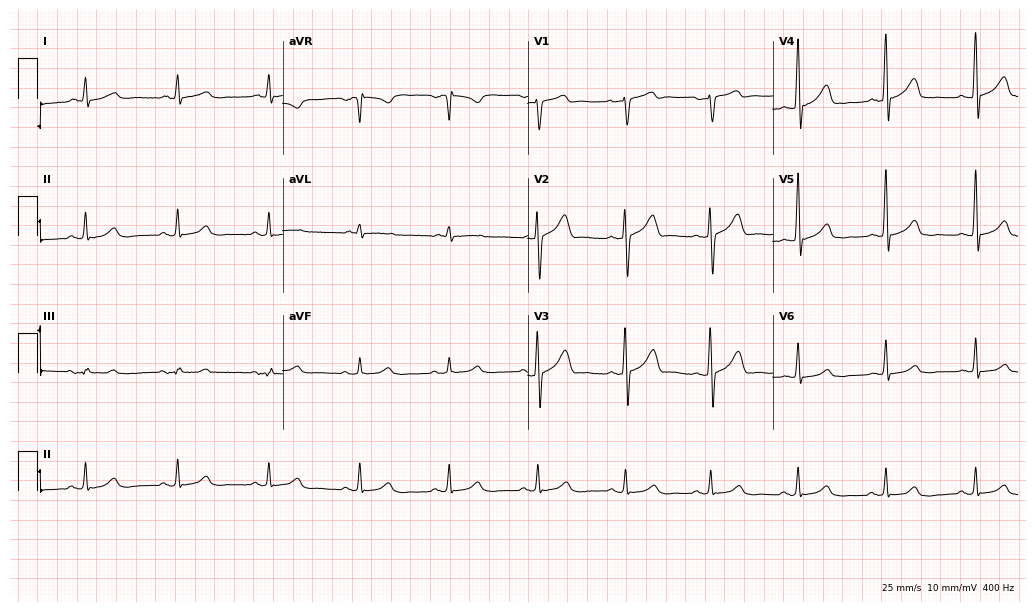
12-lead ECG from a male, 55 years old. Screened for six findings — first-degree AV block, right bundle branch block, left bundle branch block, sinus bradycardia, atrial fibrillation, sinus tachycardia — none is recorded. Findings outside these six are not listed.